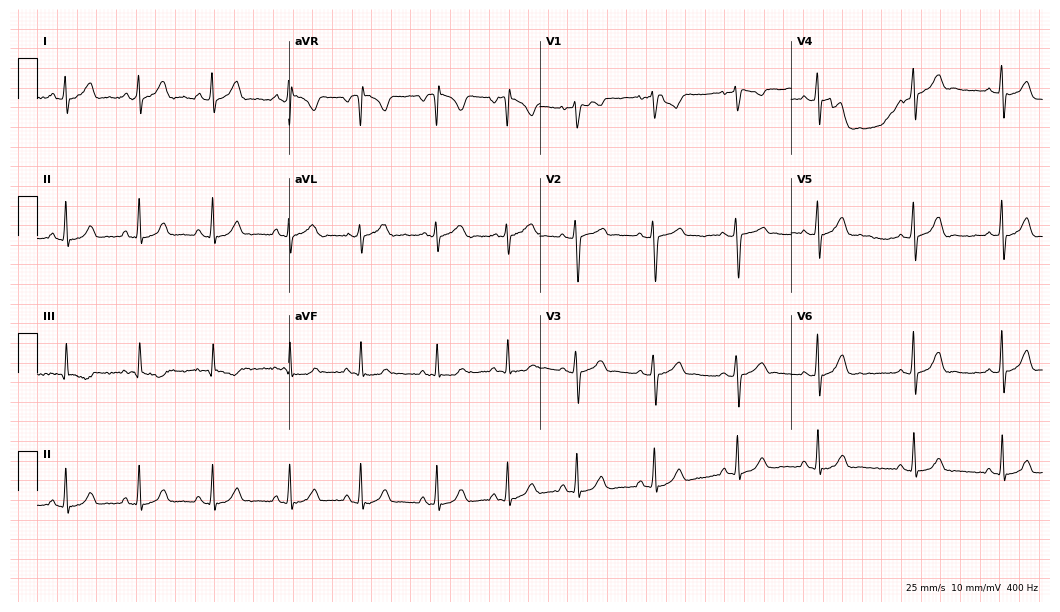
ECG (10.2-second recording at 400 Hz) — a 25-year-old female patient. Labelled as a normal ECG.